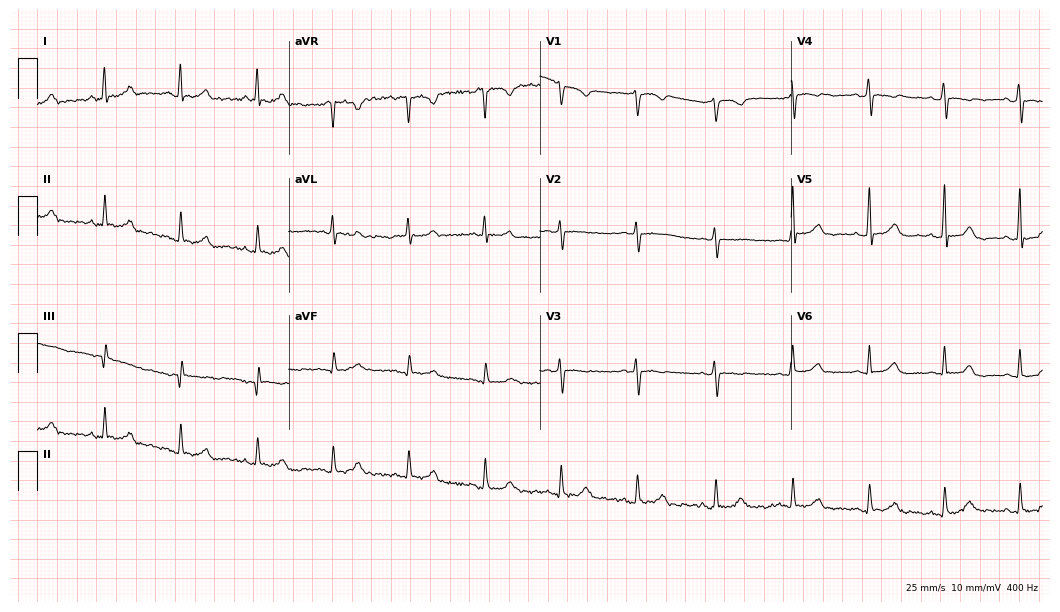
12-lead ECG from a female patient, 70 years old. Labelled as a normal ECG.